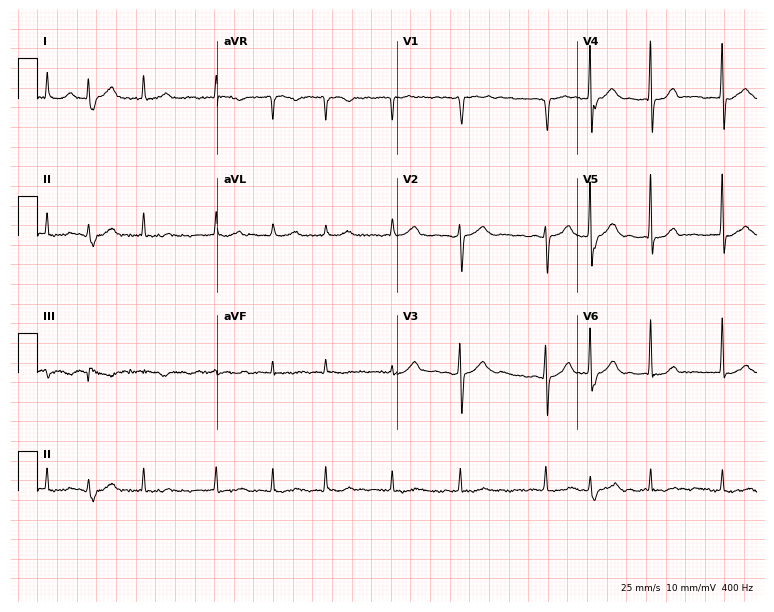
Resting 12-lead electrocardiogram. Patient: a woman, 67 years old. The tracing shows atrial fibrillation.